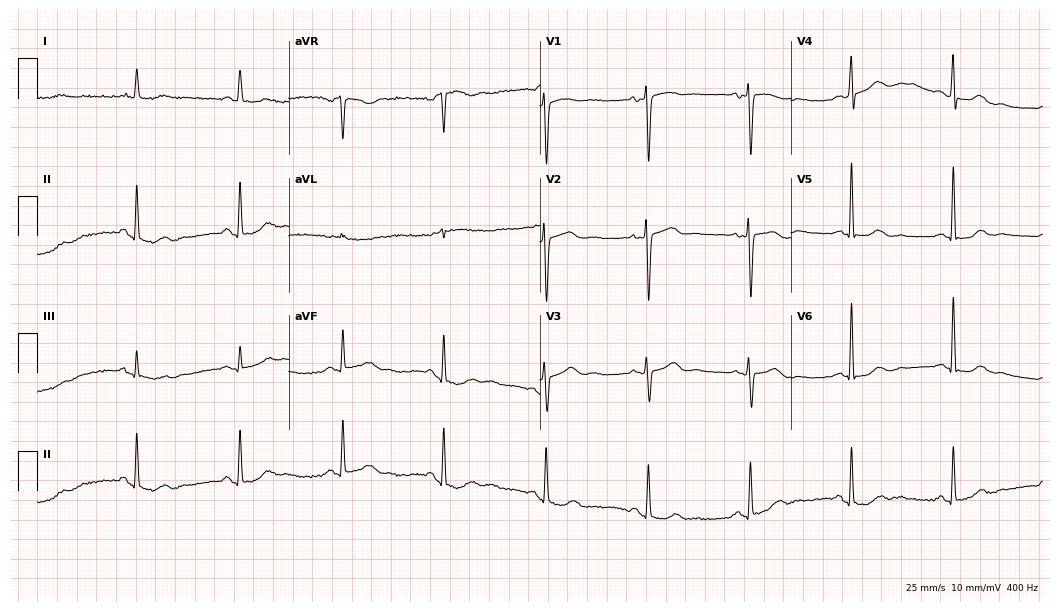
Resting 12-lead electrocardiogram. Patient: a 72-year-old female. None of these six findings is recorded: first-degree AV block, right bundle branch block, left bundle branch block, sinus bradycardia, atrial fibrillation, sinus tachycardia. Only these six findings were labelled.